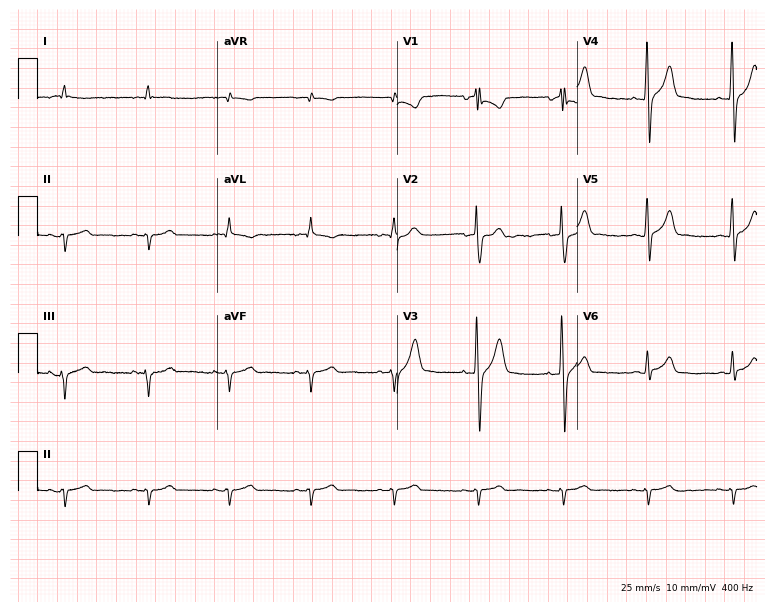
Standard 12-lead ECG recorded from a 36-year-old male. None of these six findings is recorded: first-degree AV block, right bundle branch block (RBBB), left bundle branch block (LBBB), sinus bradycardia, atrial fibrillation (AF), sinus tachycardia.